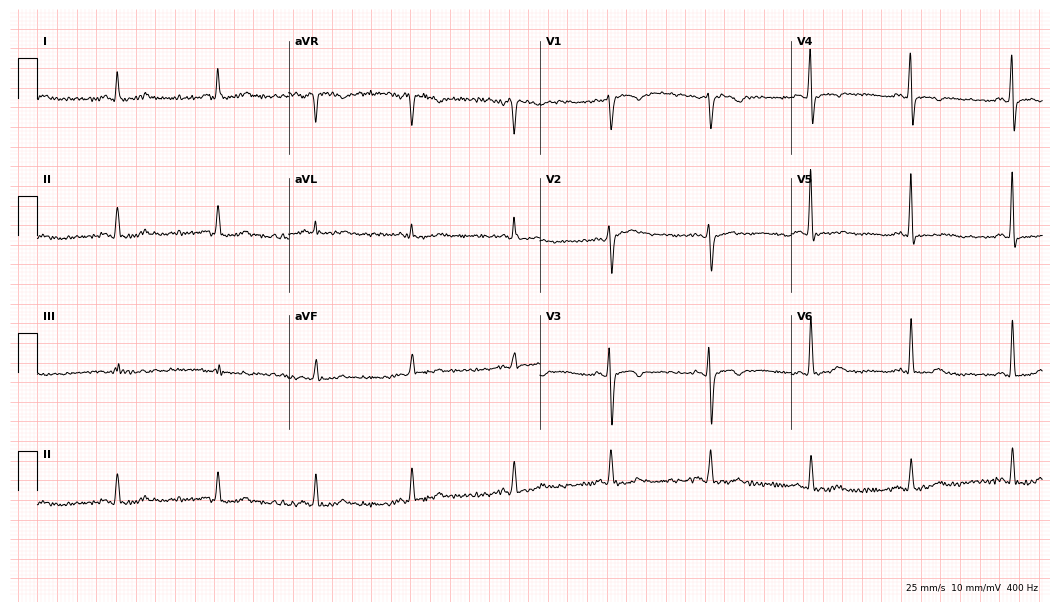
Standard 12-lead ECG recorded from a 42-year-old female patient. None of these six findings is recorded: first-degree AV block, right bundle branch block, left bundle branch block, sinus bradycardia, atrial fibrillation, sinus tachycardia. Only these six findings were labelled.